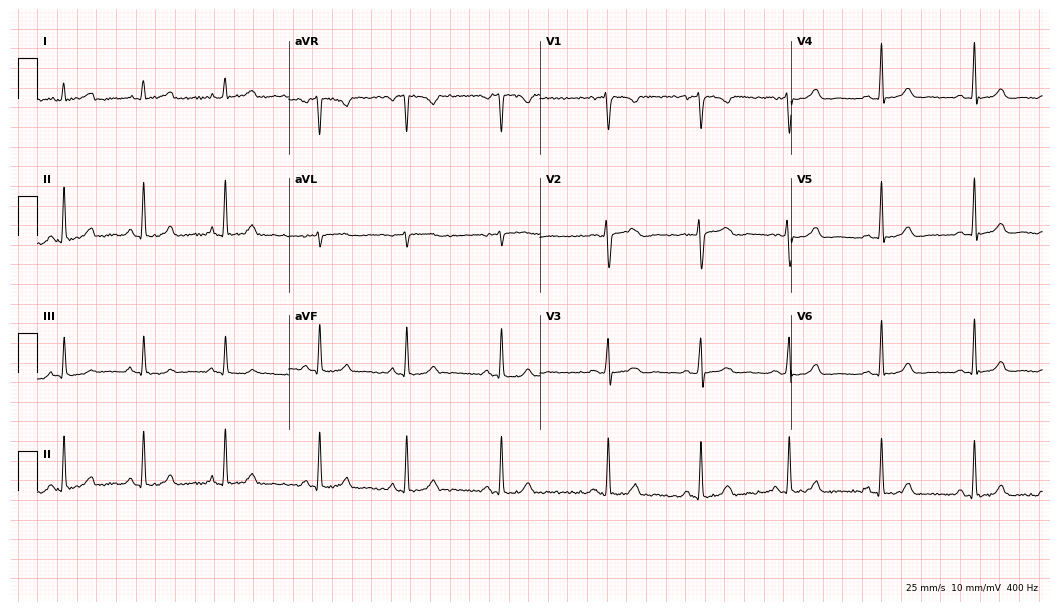
Electrocardiogram (10.2-second recording at 400 Hz), a 27-year-old female patient. Overall reading on record: normal ECG.